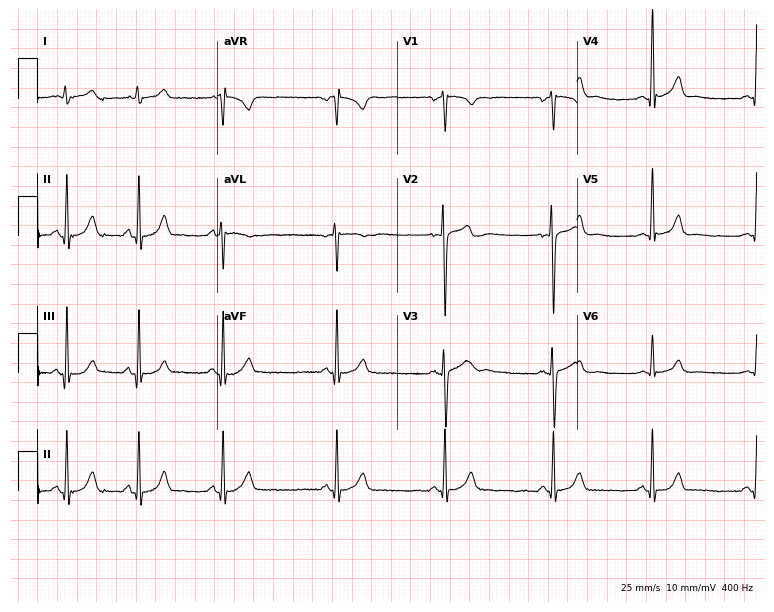
12-lead ECG from a 25-year-old man. No first-degree AV block, right bundle branch block, left bundle branch block, sinus bradycardia, atrial fibrillation or sinus tachycardia recorded for this tracing.